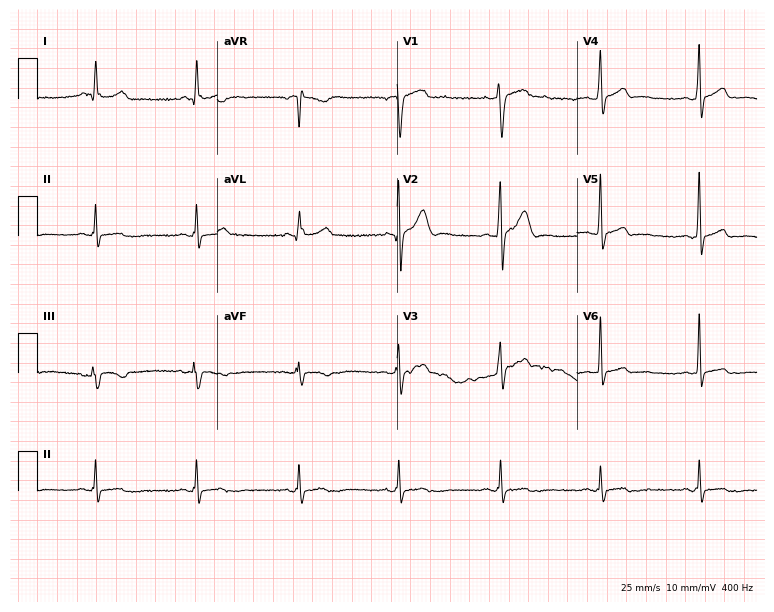
Electrocardiogram, a man, 29 years old. Of the six screened findings (first-degree AV block, right bundle branch block, left bundle branch block, sinus bradycardia, atrial fibrillation, sinus tachycardia), none is recorded. Findings outside these six are not listed.